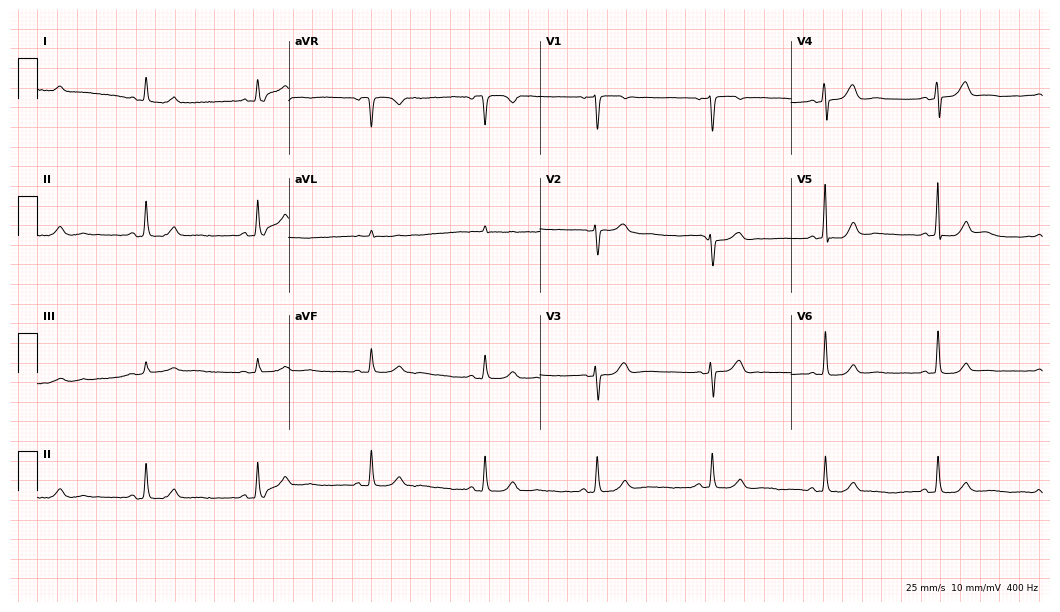
ECG — a woman, 59 years old. Labelled as a normal ECG.